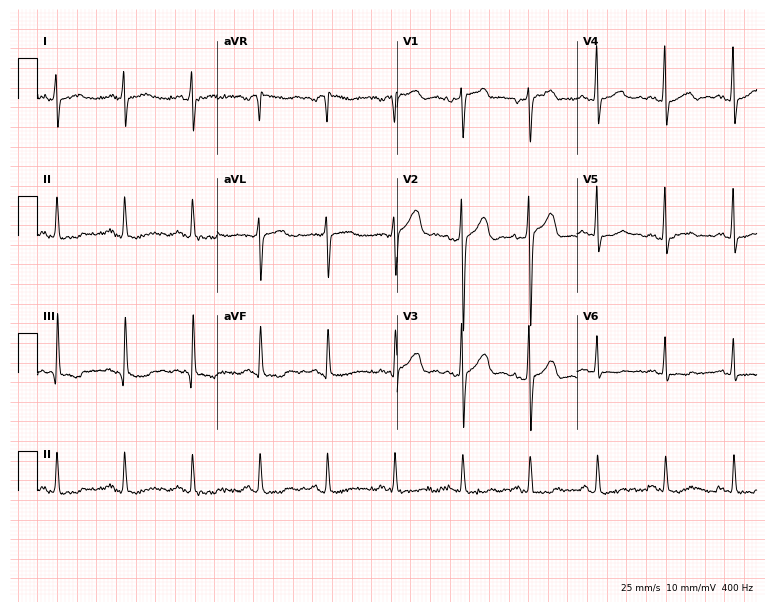
12-lead ECG (7.3-second recording at 400 Hz) from a 59-year-old man. Screened for six findings — first-degree AV block, right bundle branch block, left bundle branch block, sinus bradycardia, atrial fibrillation, sinus tachycardia — none is recorded.